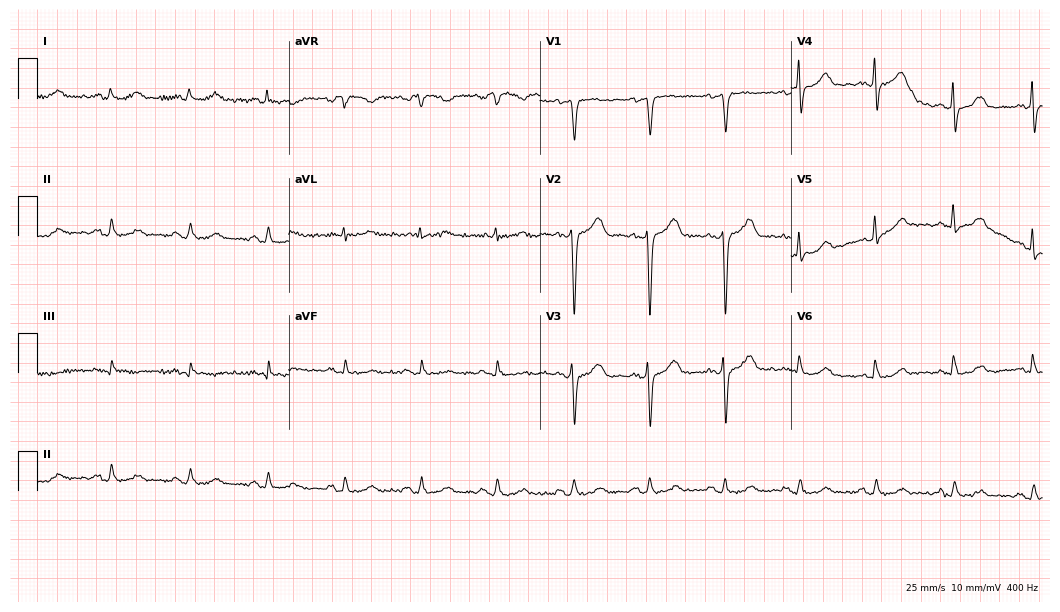
Electrocardiogram (10.2-second recording at 400 Hz), a male patient, 55 years old. Of the six screened findings (first-degree AV block, right bundle branch block (RBBB), left bundle branch block (LBBB), sinus bradycardia, atrial fibrillation (AF), sinus tachycardia), none is recorded.